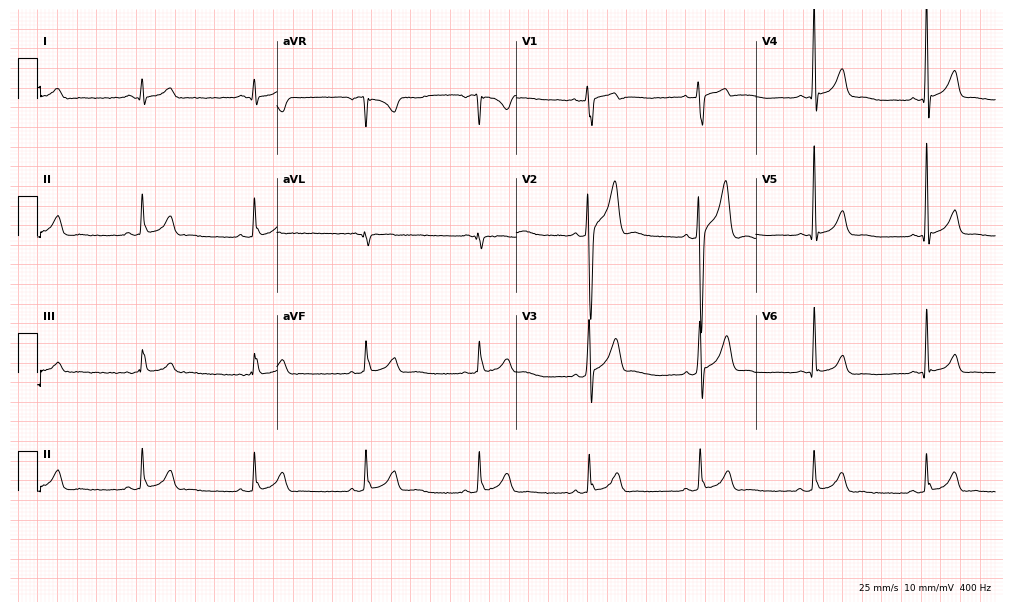
12-lead ECG from a male, 23 years old. No first-degree AV block, right bundle branch block, left bundle branch block, sinus bradycardia, atrial fibrillation or sinus tachycardia recorded for this tracing. Findings outside these six are not listed.